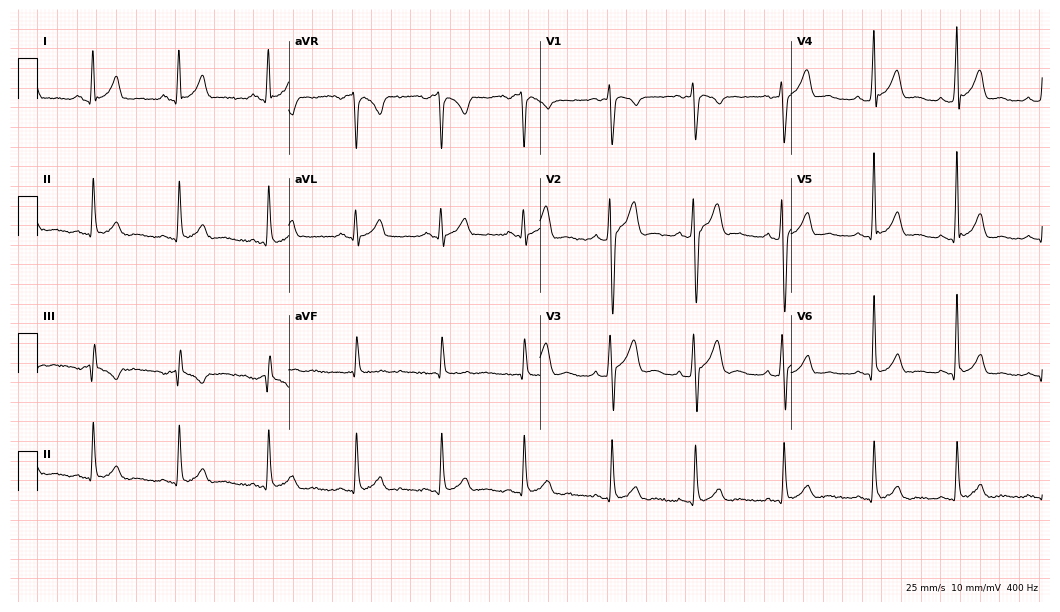
Standard 12-lead ECG recorded from a 25-year-old man (10.2-second recording at 400 Hz). Read as a normal ECG.